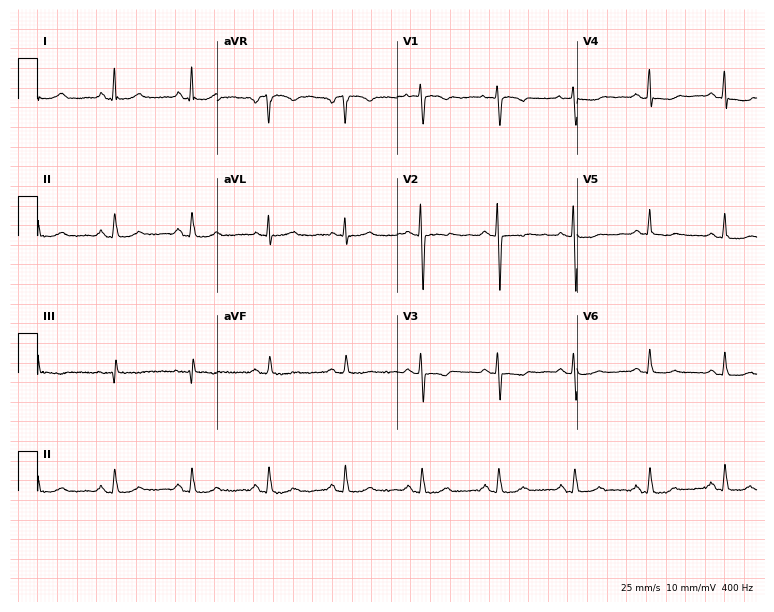
Resting 12-lead electrocardiogram. Patient: a female, 53 years old. None of these six findings is recorded: first-degree AV block, right bundle branch block, left bundle branch block, sinus bradycardia, atrial fibrillation, sinus tachycardia. Findings outside these six are not listed.